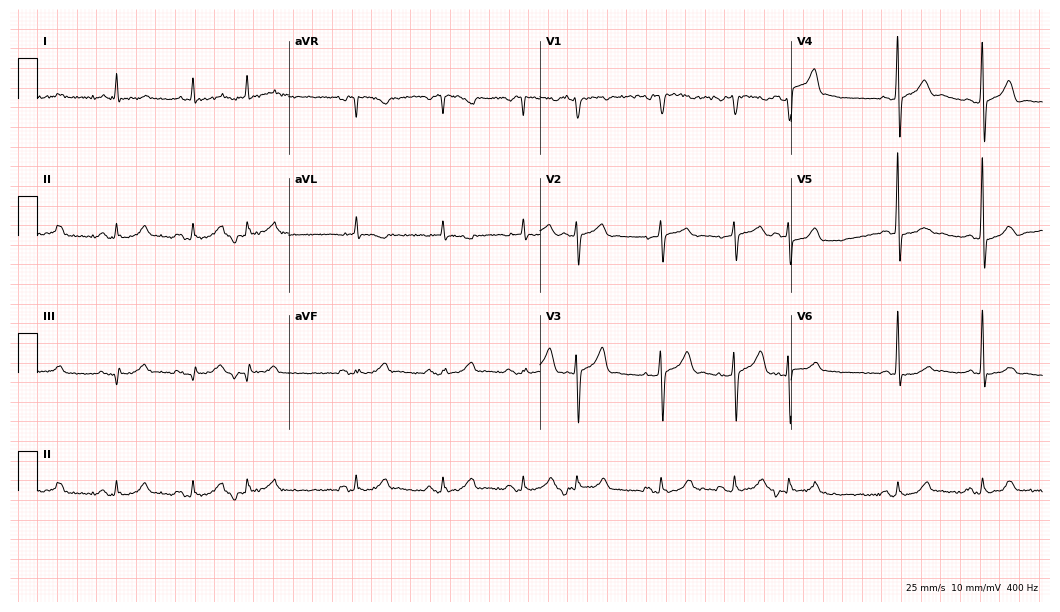
12-lead ECG from a 79-year-old man. No first-degree AV block, right bundle branch block, left bundle branch block, sinus bradycardia, atrial fibrillation or sinus tachycardia recorded for this tracing. Only these six findings were labelled.